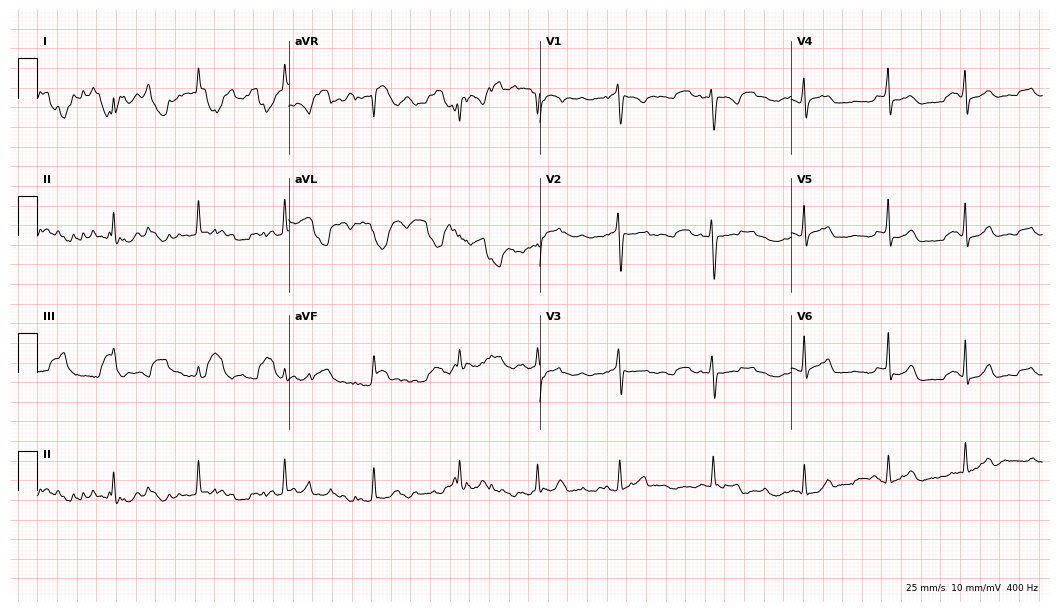
Electrocardiogram, a 21-year-old female. Of the six screened findings (first-degree AV block, right bundle branch block, left bundle branch block, sinus bradycardia, atrial fibrillation, sinus tachycardia), none is recorded. Other findings, if any, are not listed.